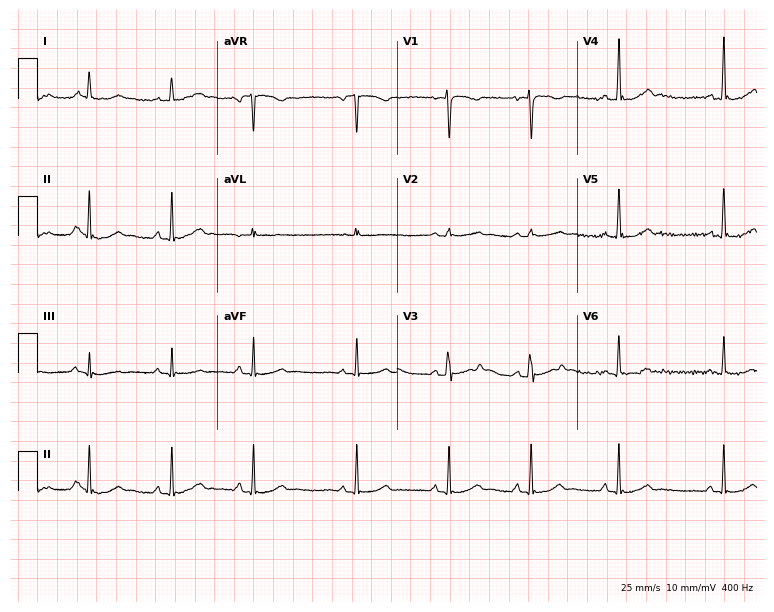
12-lead ECG from a woman, 19 years old. No first-degree AV block, right bundle branch block, left bundle branch block, sinus bradycardia, atrial fibrillation or sinus tachycardia recorded for this tracing. Other findings, if any, are not listed.